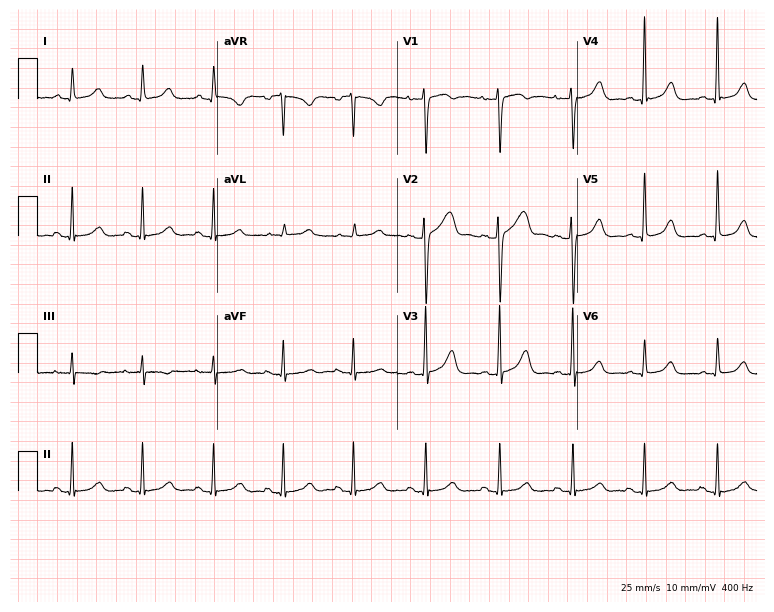
12-lead ECG (7.3-second recording at 400 Hz) from a 36-year-old female patient. Labelled as a normal ECG.